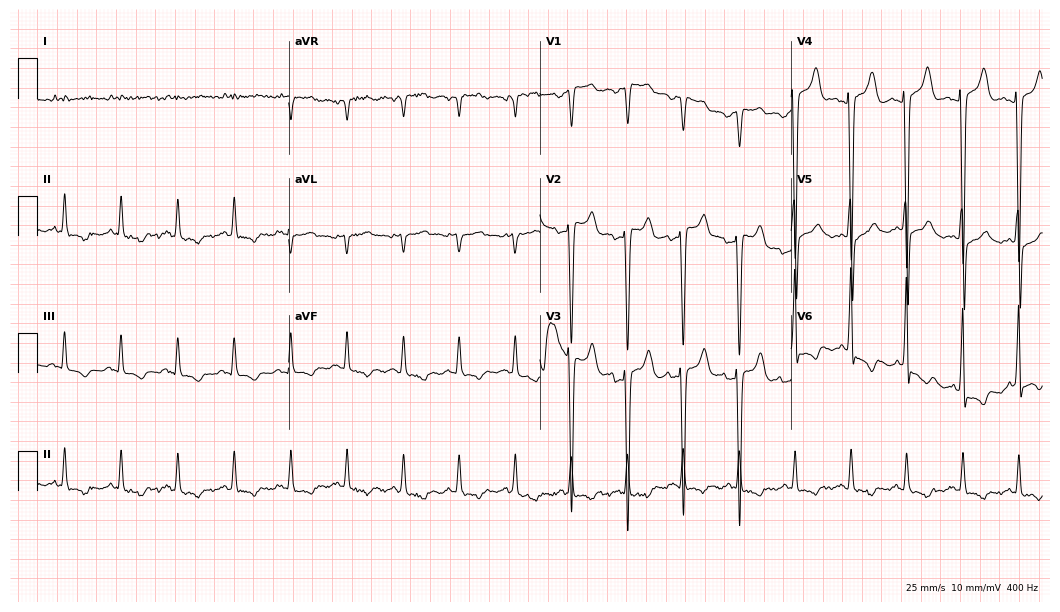
Standard 12-lead ECG recorded from a woman, 85 years old (10.2-second recording at 400 Hz). None of these six findings is recorded: first-degree AV block, right bundle branch block, left bundle branch block, sinus bradycardia, atrial fibrillation, sinus tachycardia.